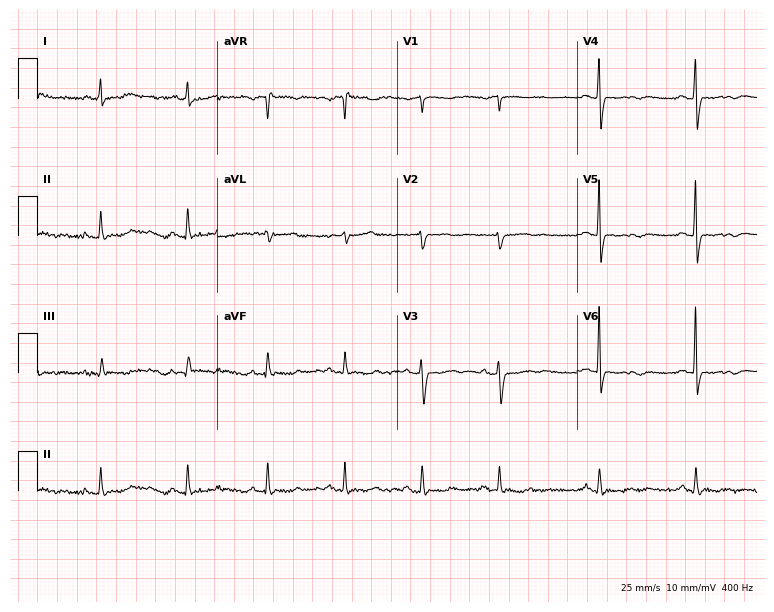
12-lead ECG from an 81-year-old female. Screened for six findings — first-degree AV block, right bundle branch block, left bundle branch block, sinus bradycardia, atrial fibrillation, sinus tachycardia — none is recorded.